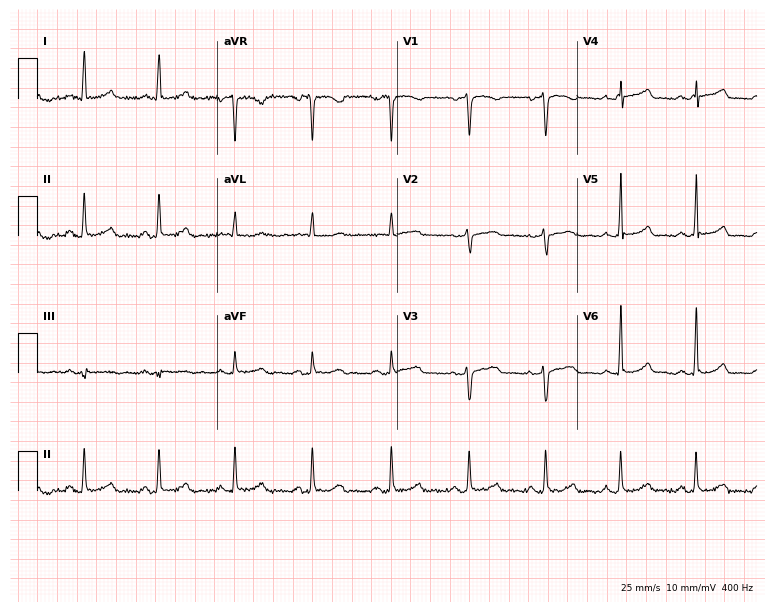
Electrocardiogram (7.3-second recording at 400 Hz), a 59-year-old woman. Of the six screened findings (first-degree AV block, right bundle branch block, left bundle branch block, sinus bradycardia, atrial fibrillation, sinus tachycardia), none is recorded. Only these six findings were labelled.